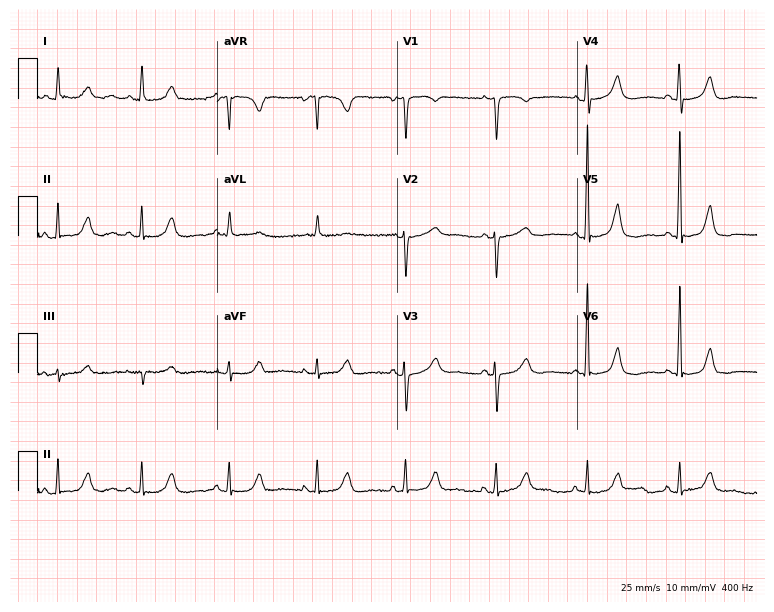
12-lead ECG from a female, 84 years old (7.3-second recording at 400 Hz). Recorded interpretation: within normal limits.